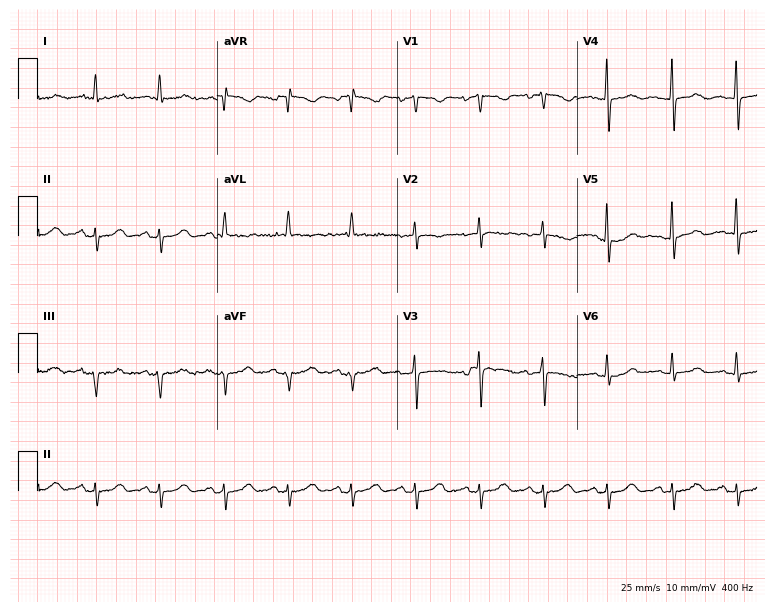
Standard 12-lead ECG recorded from a 78-year-old female patient. None of these six findings is recorded: first-degree AV block, right bundle branch block, left bundle branch block, sinus bradycardia, atrial fibrillation, sinus tachycardia.